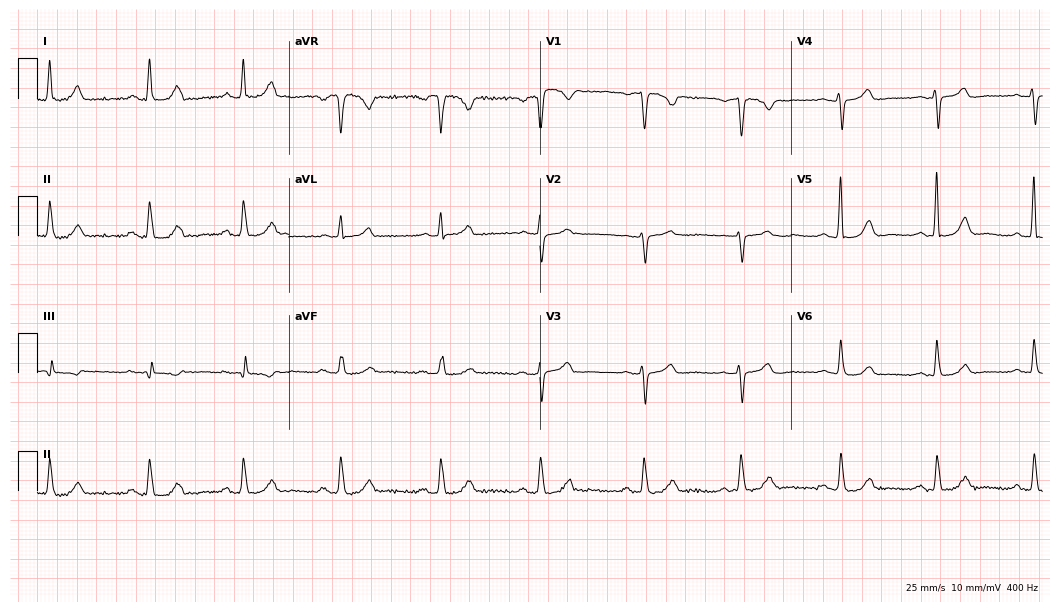
Electrocardiogram, a woman, 62 years old. Of the six screened findings (first-degree AV block, right bundle branch block (RBBB), left bundle branch block (LBBB), sinus bradycardia, atrial fibrillation (AF), sinus tachycardia), none is recorded. Only these six findings were labelled.